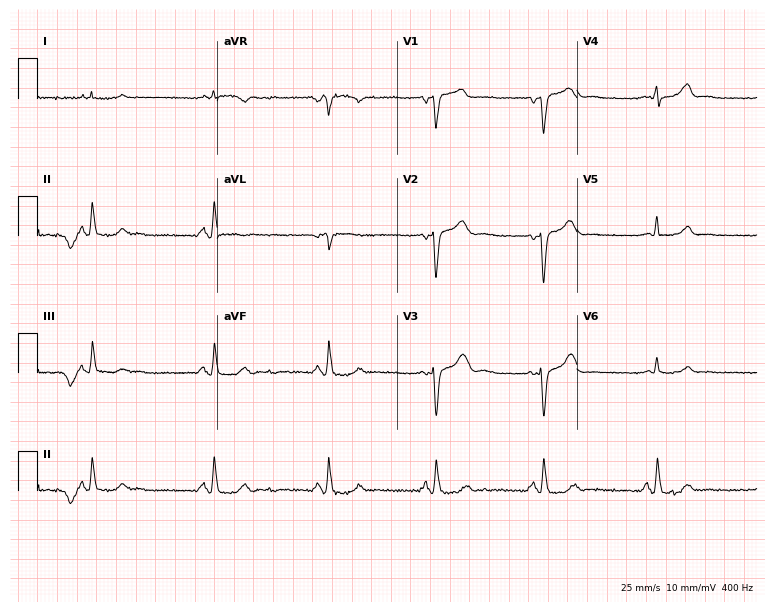
Electrocardiogram (7.3-second recording at 400 Hz), a male, 55 years old. Of the six screened findings (first-degree AV block, right bundle branch block (RBBB), left bundle branch block (LBBB), sinus bradycardia, atrial fibrillation (AF), sinus tachycardia), none is recorded.